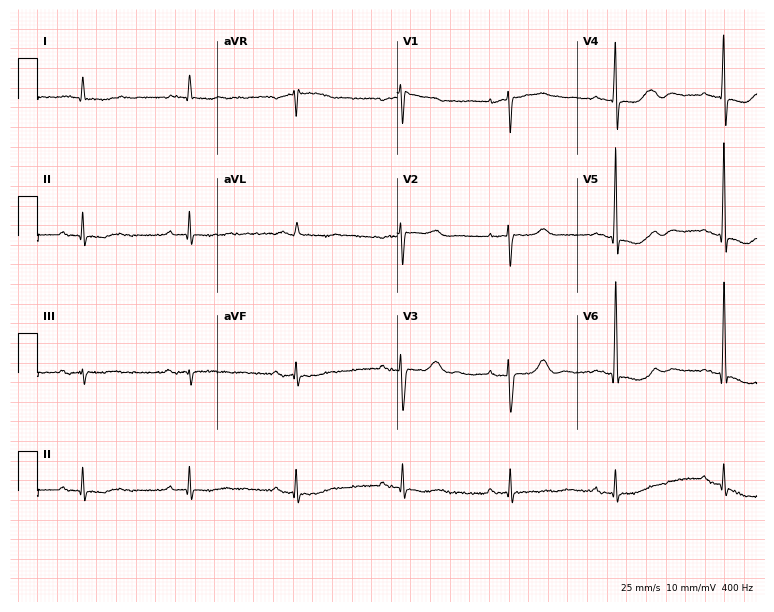
12-lead ECG from a 68-year-old male patient (7.3-second recording at 400 Hz). No first-degree AV block, right bundle branch block, left bundle branch block, sinus bradycardia, atrial fibrillation or sinus tachycardia recorded for this tracing. Findings outside these six are not listed.